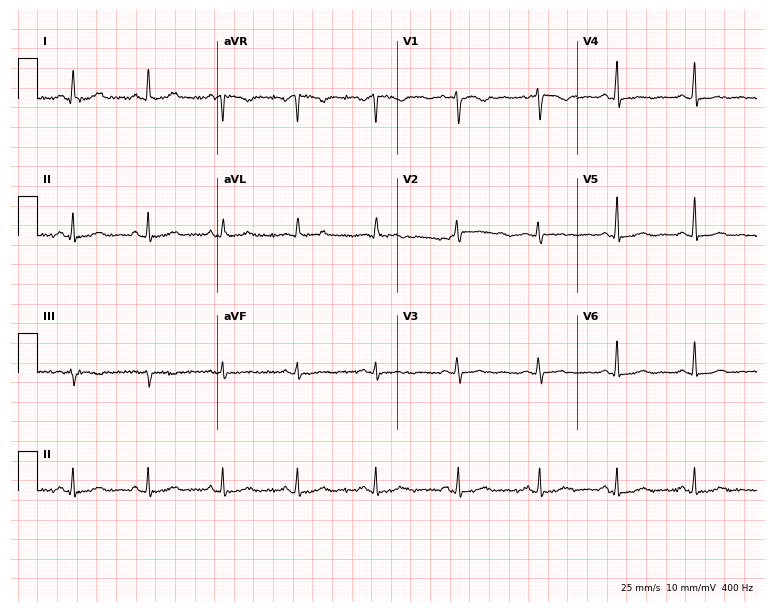
12-lead ECG from a female, 44 years old (7.3-second recording at 400 Hz). No first-degree AV block, right bundle branch block, left bundle branch block, sinus bradycardia, atrial fibrillation or sinus tachycardia recorded for this tracing.